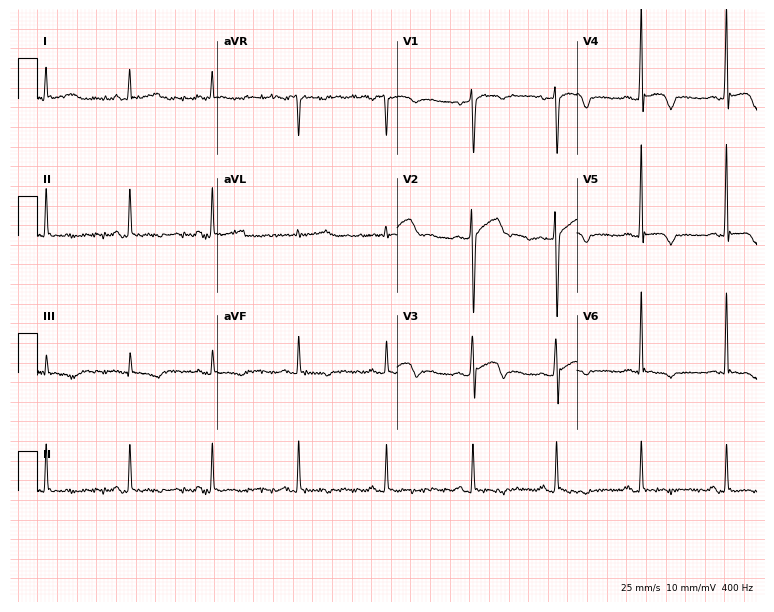
ECG — a 46-year-old man. Screened for six findings — first-degree AV block, right bundle branch block (RBBB), left bundle branch block (LBBB), sinus bradycardia, atrial fibrillation (AF), sinus tachycardia — none is recorded.